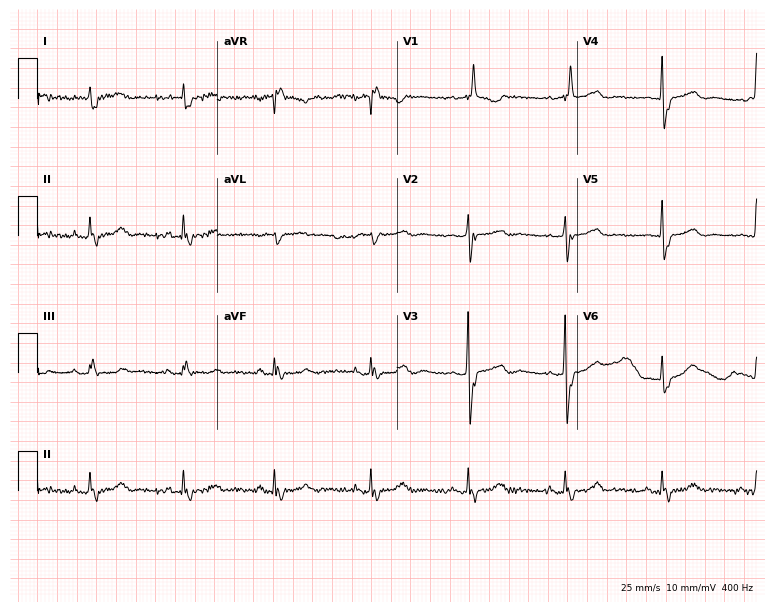
ECG — a 71-year-old woman. Findings include right bundle branch block (RBBB).